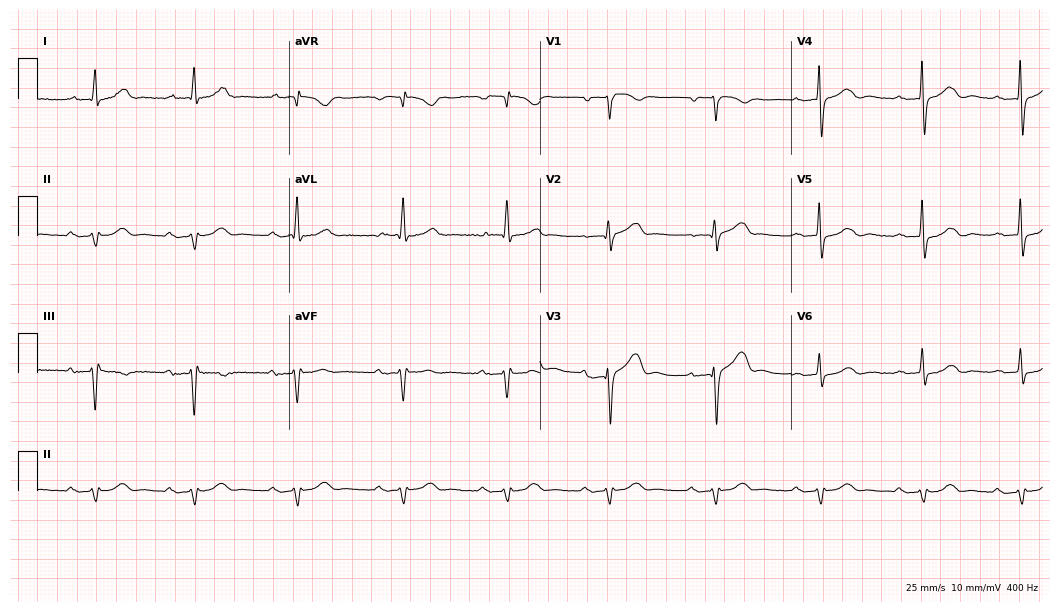
Standard 12-lead ECG recorded from an 83-year-old male (10.2-second recording at 400 Hz). The tracing shows first-degree AV block.